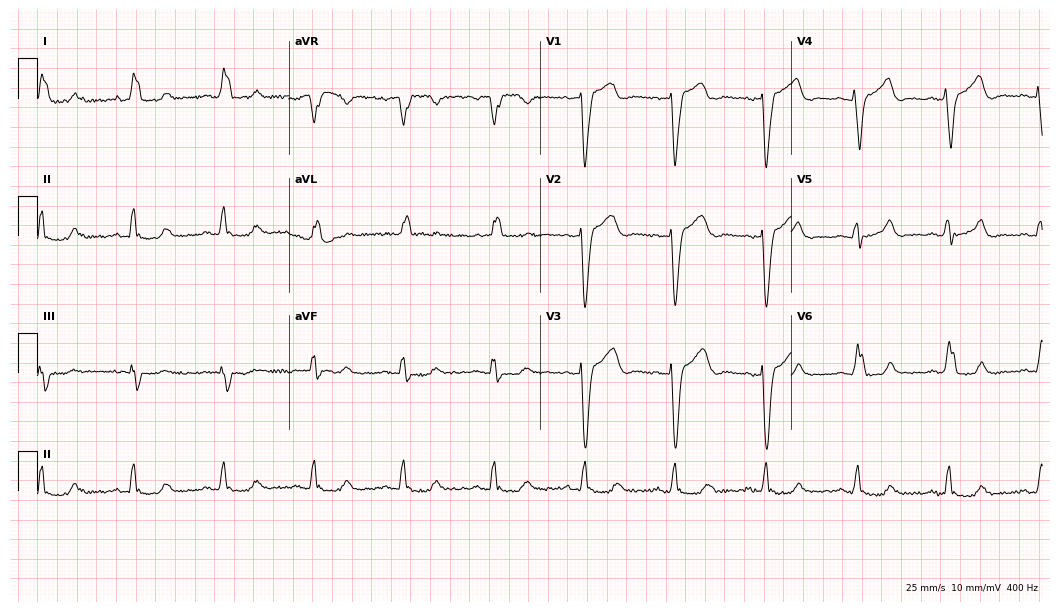
12-lead ECG from a female patient, 65 years old. No first-degree AV block, right bundle branch block (RBBB), left bundle branch block (LBBB), sinus bradycardia, atrial fibrillation (AF) or sinus tachycardia recorded for this tracing.